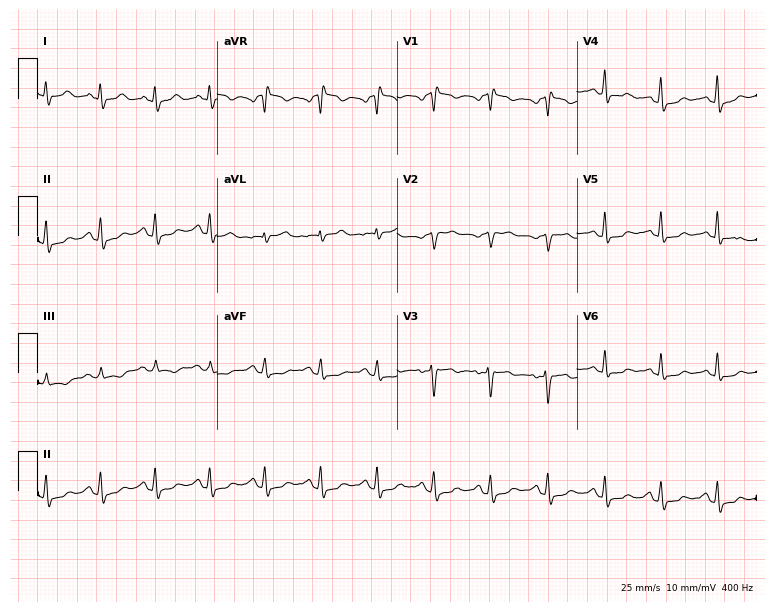
Resting 12-lead electrocardiogram. Patient: a 47-year-old female. None of these six findings is recorded: first-degree AV block, right bundle branch block, left bundle branch block, sinus bradycardia, atrial fibrillation, sinus tachycardia. Other findings, if any, are not listed.